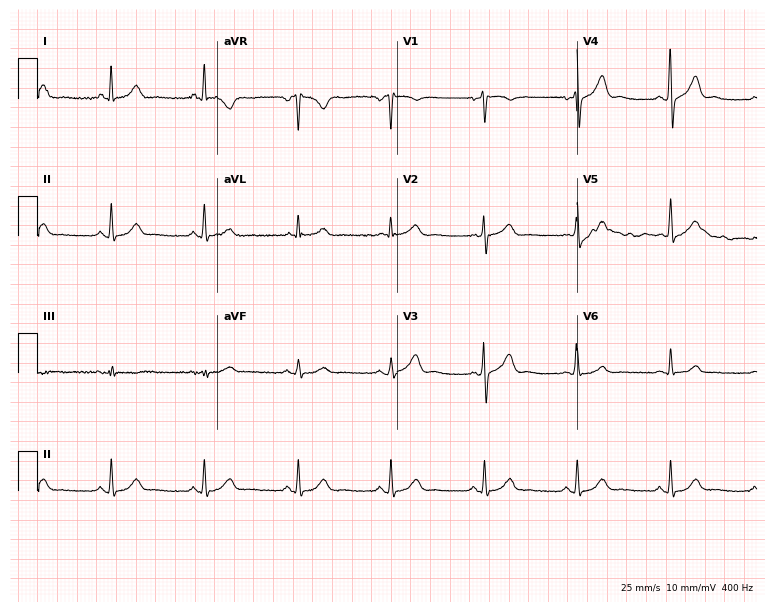
Electrocardiogram, a 69-year-old male. Overall reading on record: normal ECG.